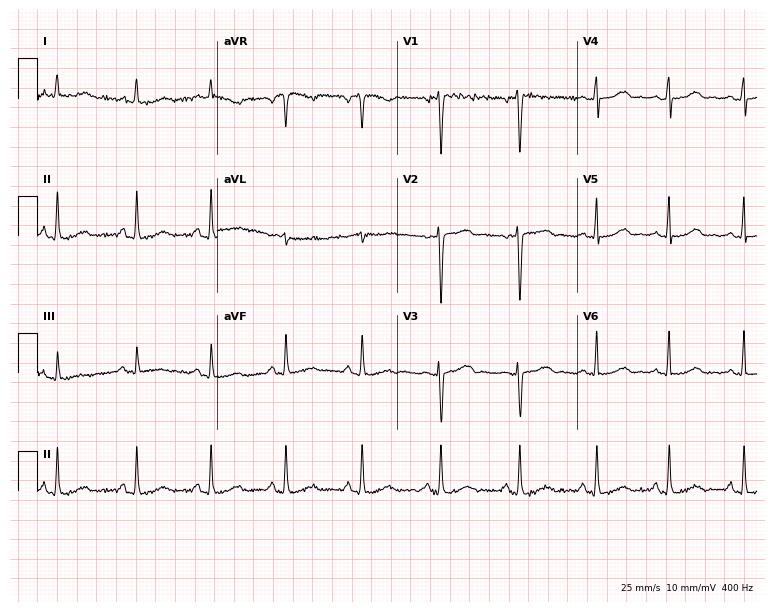
Standard 12-lead ECG recorded from a 32-year-old woman (7.3-second recording at 400 Hz). Read as a normal ECG.